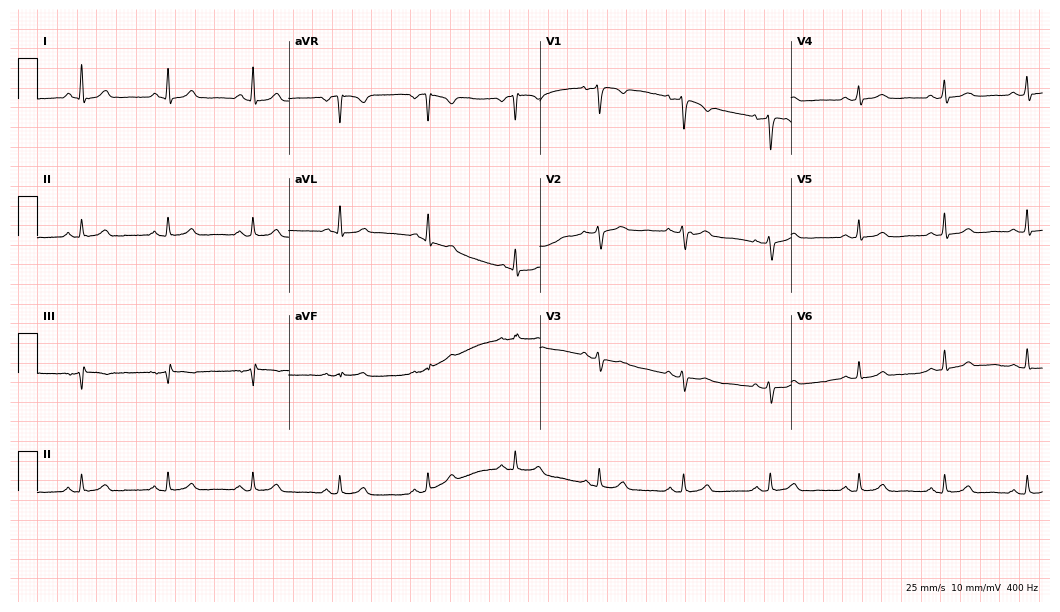
12-lead ECG from a female, 54 years old. Recorded interpretation: within normal limits.